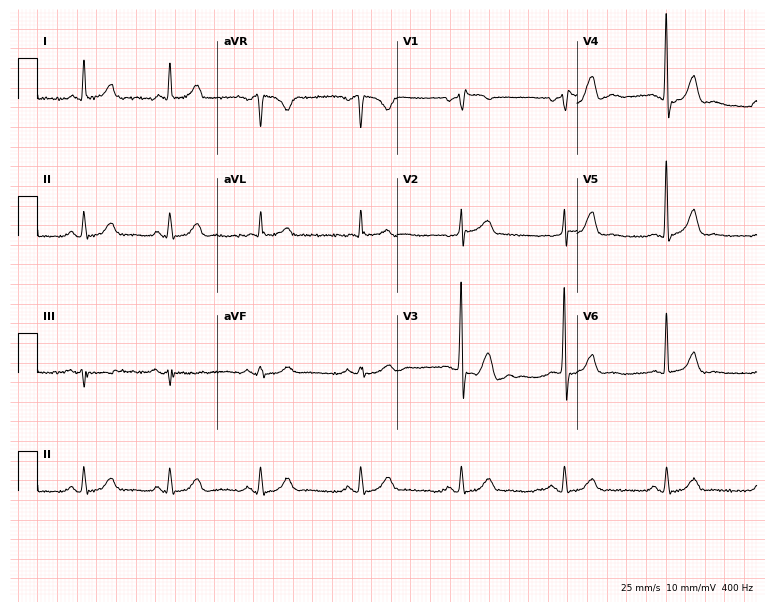
Resting 12-lead electrocardiogram (7.3-second recording at 400 Hz). Patient: a 59-year-old male. None of these six findings is recorded: first-degree AV block, right bundle branch block, left bundle branch block, sinus bradycardia, atrial fibrillation, sinus tachycardia. Findings outside these six are not listed.